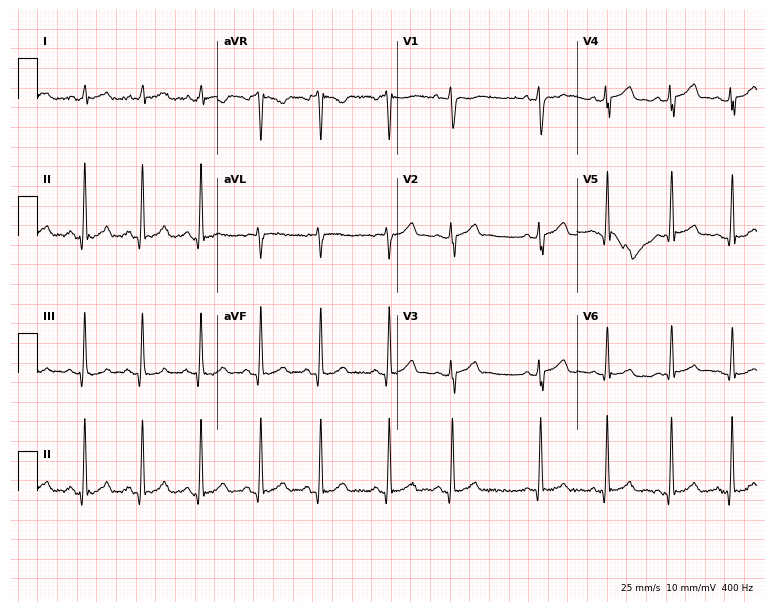
Resting 12-lead electrocardiogram (7.3-second recording at 400 Hz). Patient: a male, 28 years old. None of these six findings is recorded: first-degree AV block, right bundle branch block (RBBB), left bundle branch block (LBBB), sinus bradycardia, atrial fibrillation (AF), sinus tachycardia. Only these six findings were labelled.